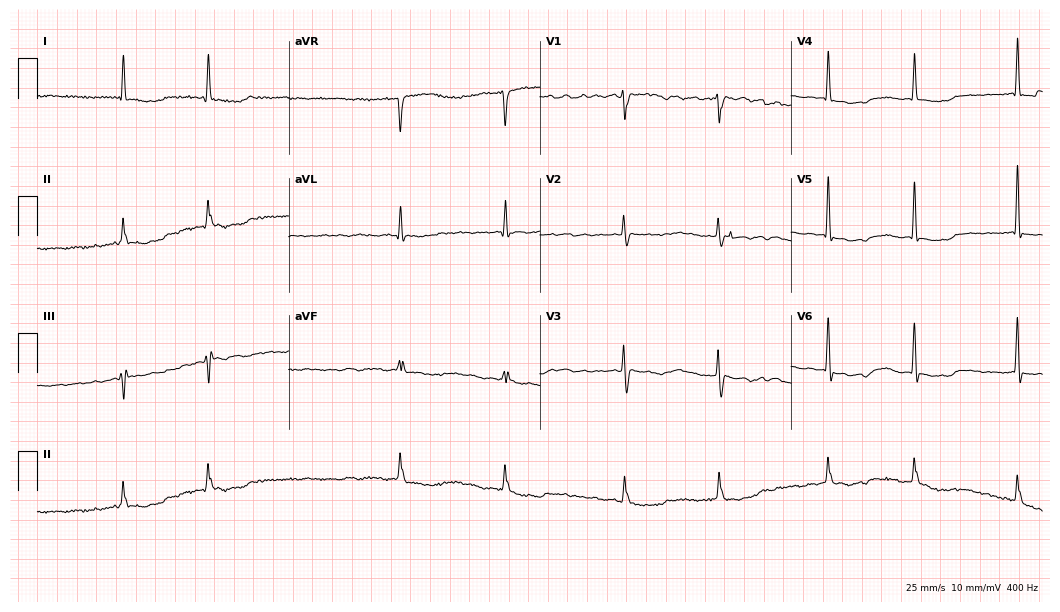
Standard 12-lead ECG recorded from a 76-year-old female. The tracing shows atrial fibrillation.